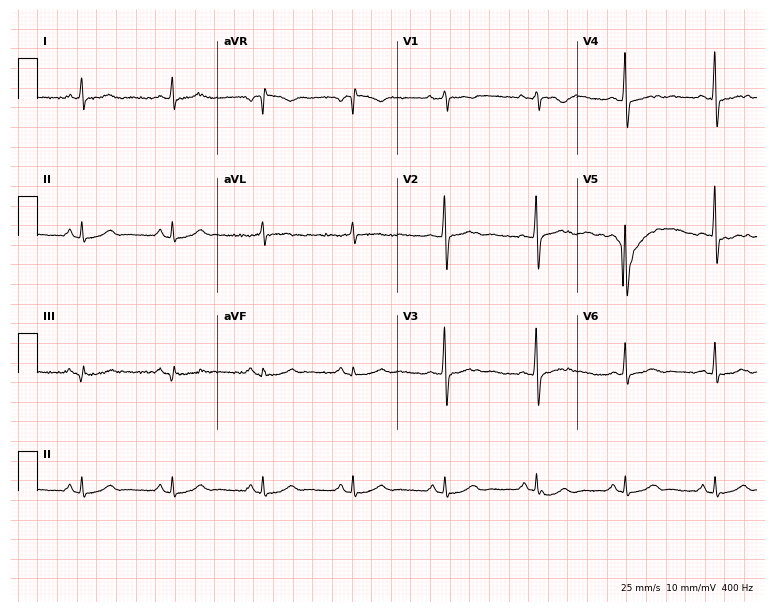
Electrocardiogram, a 65-year-old male patient. Overall reading on record: normal ECG.